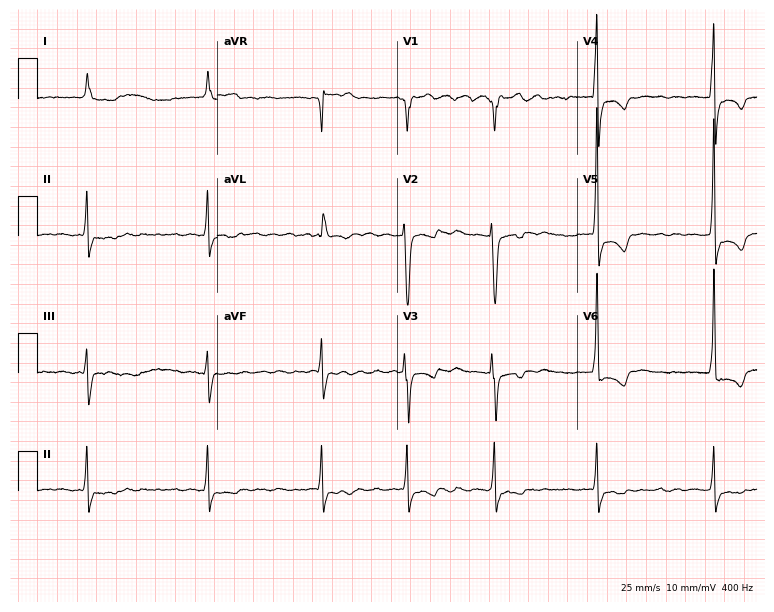
Resting 12-lead electrocardiogram (7.3-second recording at 400 Hz). Patient: a female, 58 years old. The tracing shows atrial fibrillation (AF).